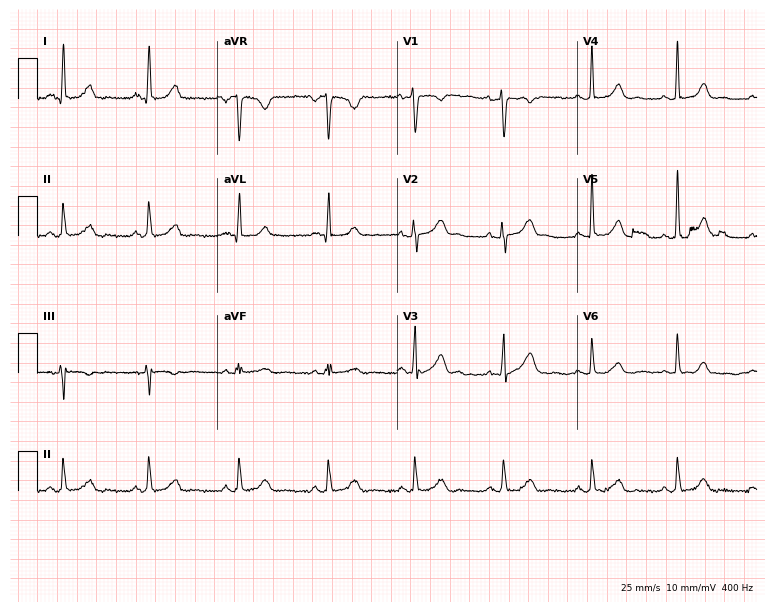
Standard 12-lead ECG recorded from a 36-year-old female patient. None of these six findings is recorded: first-degree AV block, right bundle branch block, left bundle branch block, sinus bradycardia, atrial fibrillation, sinus tachycardia. Only these six findings were labelled.